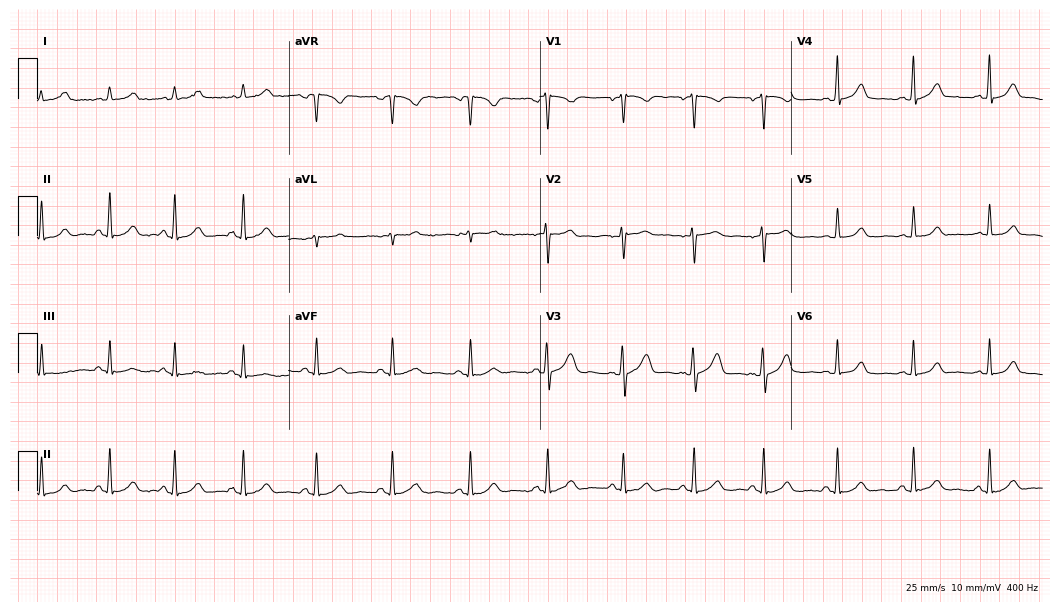
12-lead ECG from a 25-year-old female patient. Recorded interpretation: within normal limits.